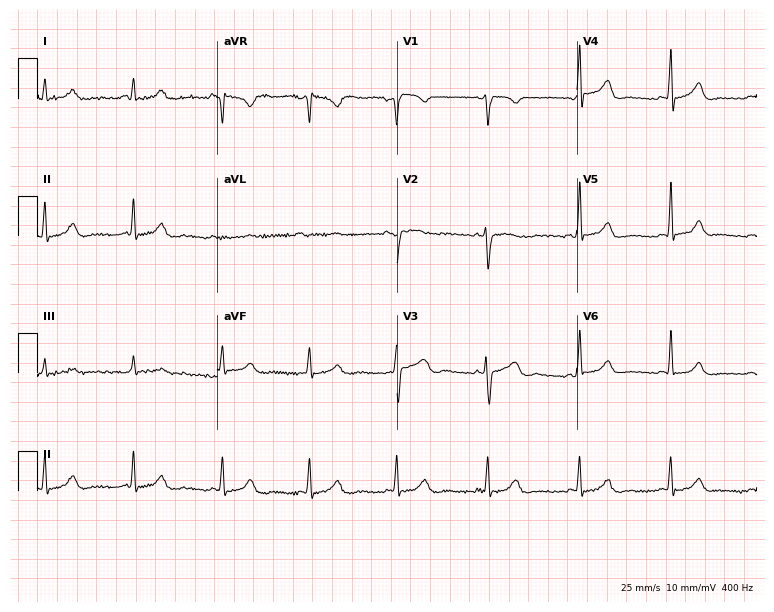
12-lead ECG from a female patient, 32 years old. No first-degree AV block, right bundle branch block, left bundle branch block, sinus bradycardia, atrial fibrillation or sinus tachycardia recorded for this tracing. Other findings, if any, are not listed.